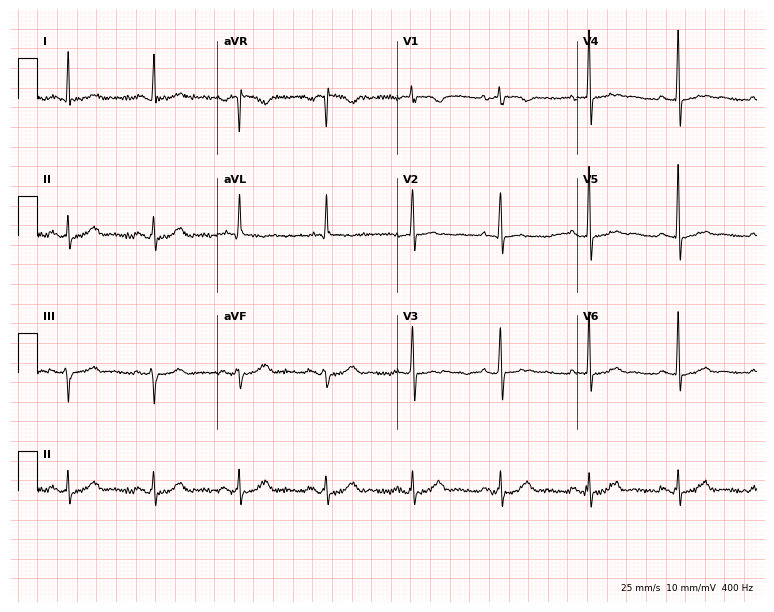
Electrocardiogram, a 64-year-old female patient. Of the six screened findings (first-degree AV block, right bundle branch block, left bundle branch block, sinus bradycardia, atrial fibrillation, sinus tachycardia), none is recorded.